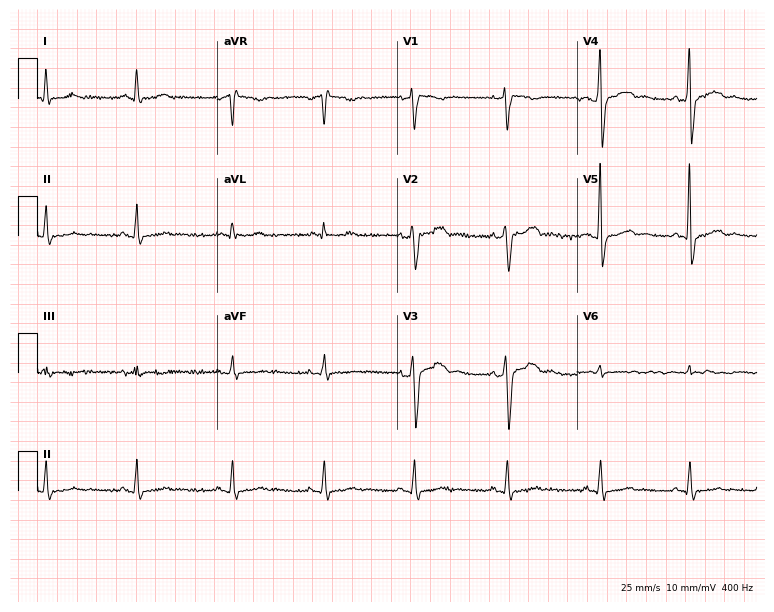
Electrocardiogram, a male patient, 40 years old. Of the six screened findings (first-degree AV block, right bundle branch block (RBBB), left bundle branch block (LBBB), sinus bradycardia, atrial fibrillation (AF), sinus tachycardia), none is recorded.